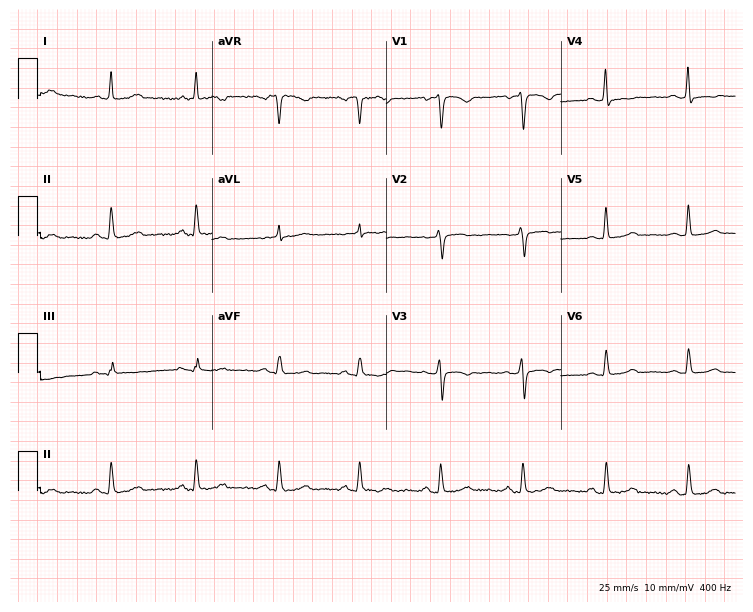
Resting 12-lead electrocardiogram. Patient: a female, 44 years old. None of these six findings is recorded: first-degree AV block, right bundle branch block, left bundle branch block, sinus bradycardia, atrial fibrillation, sinus tachycardia. Findings outside these six are not listed.